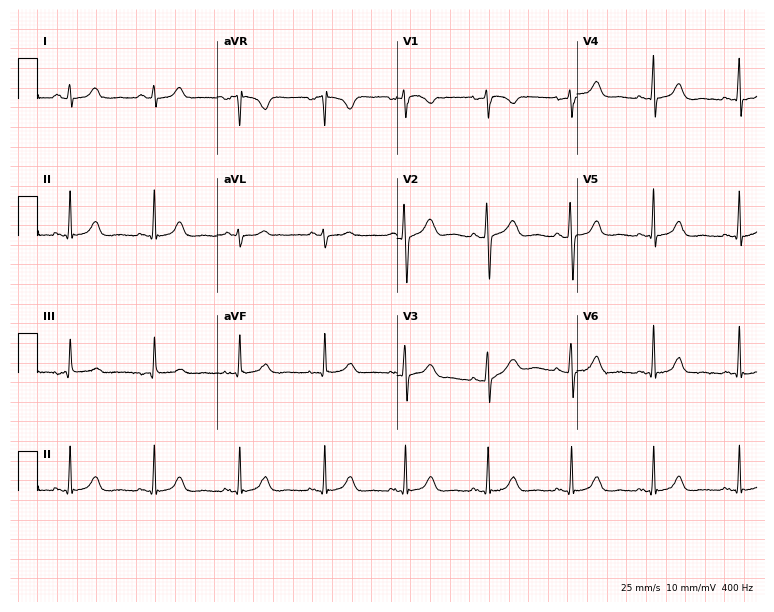
ECG (7.3-second recording at 400 Hz) — a 45-year-old female patient. Labelled as a normal ECG.